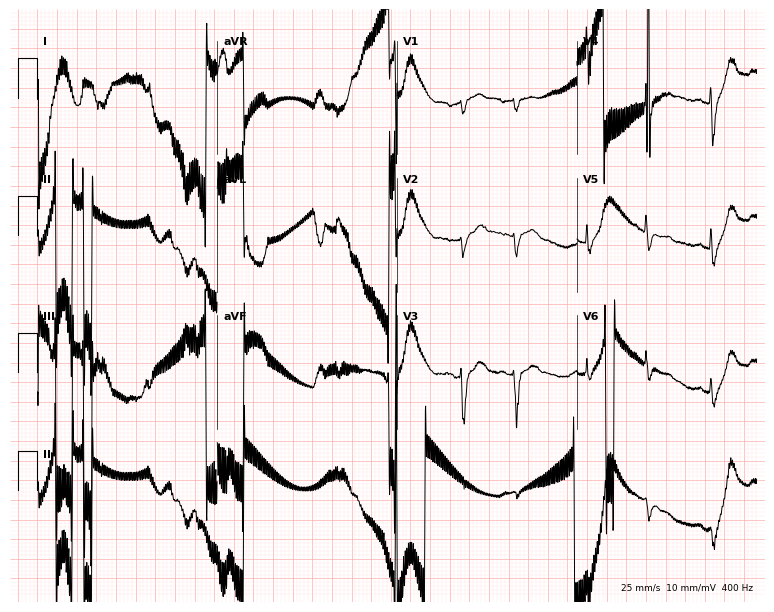
ECG — a 76-year-old male patient. Screened for six findings — first-degree AV block, right bundle branch block, left bundle branch block, sinus bradycardia, atrial fibrillation, sinus tachycardia — none is recorded. Findings outside these six are not listed.